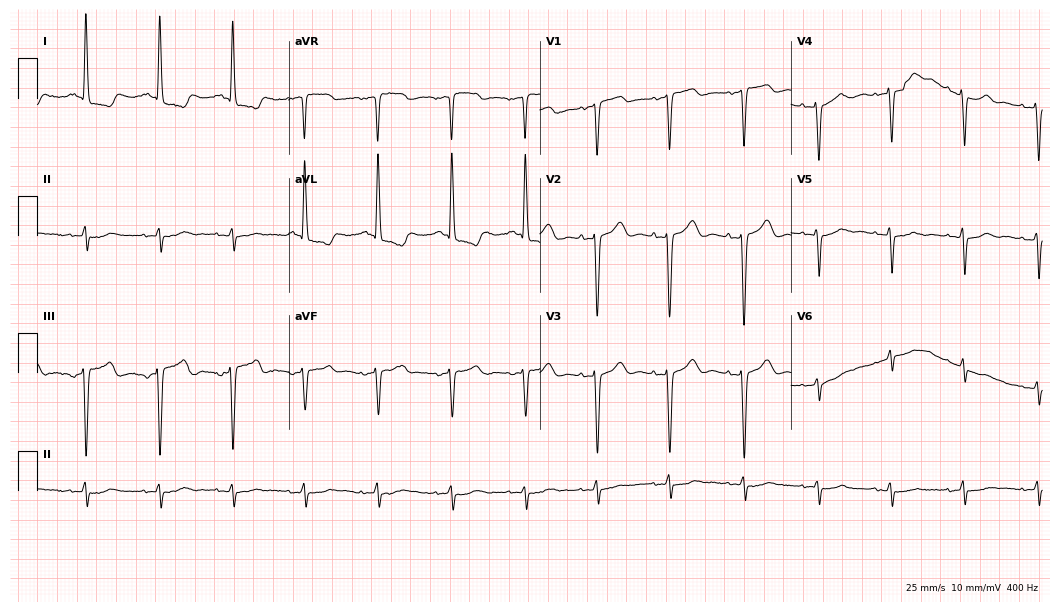
Resting 12-lead electrocardiogram (10.2-second recording at 400 Hz). Patient: a female, 85 years old. None of these six findings is recorded: first-degree AV block, right bundle branch block, left bundle branch block, sinus bradycardia, atrial fibrillation, sinus tachycardia.